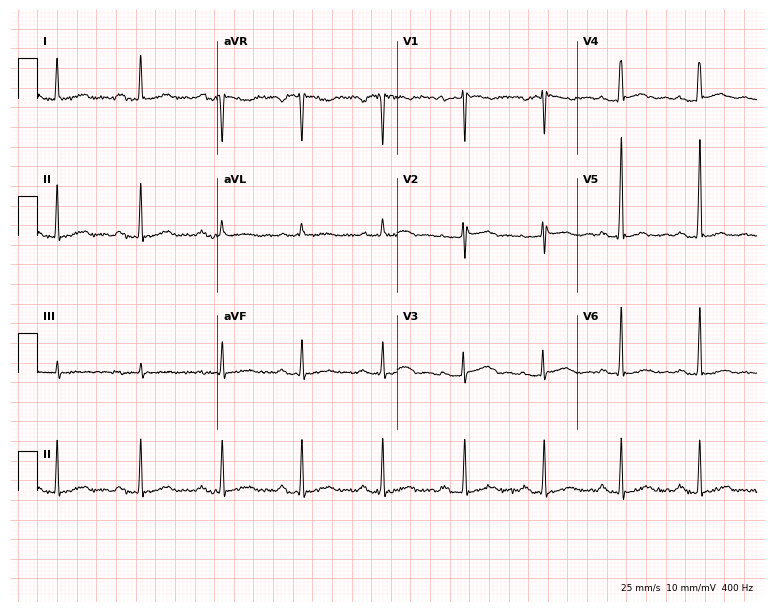
ECG (7.3-second recording at 400 Hz) — a 43-year-old woman. Screened for six findings — first-degree AV block, right bundle branch block, left bundle branch block, sinus bradycardia, atrial fibrillation, sinus tachycardia — none is recorded.